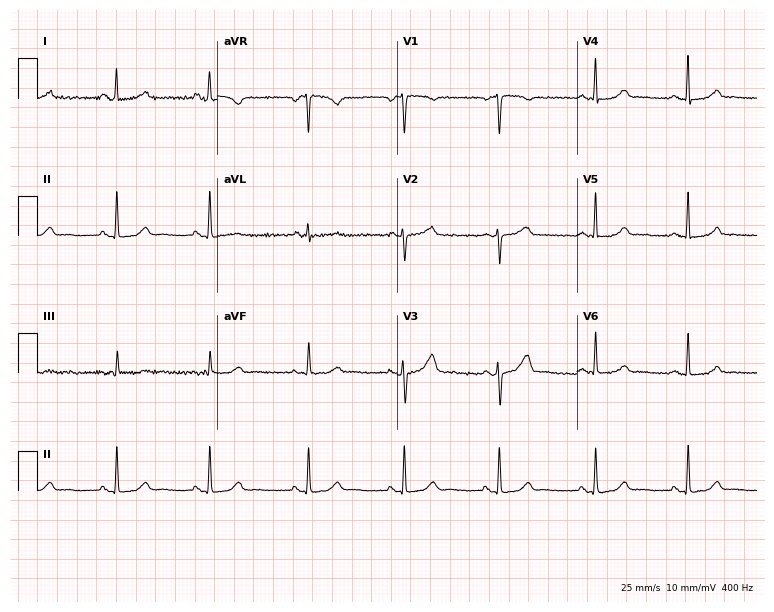
Resting 12-lead electrocardiogram. Patient: a 38-year-old woman. Read as a normal ECG.